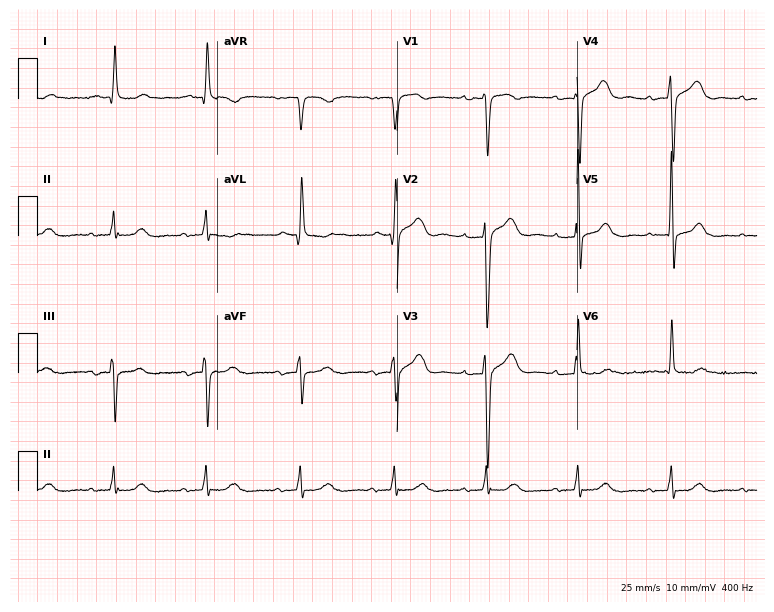
ECG (7.3-second recording at 400 Hz) — a female patient, 85 years old. Findings include first-degree AV block.